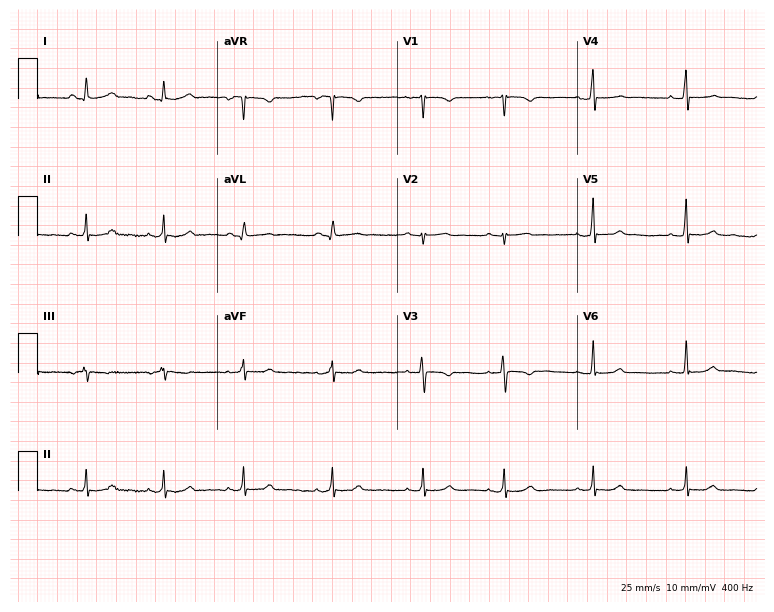
ECG (7.3-second recording at 400 Hz) — a 17-year-old female. Screened for six findings — first-degree AV block, right bundle branch block, left bundle branch block, sinus bradycardia, atrial fibrillation, sinus tachycardia — none is recorded. Only these six findings were labelled.